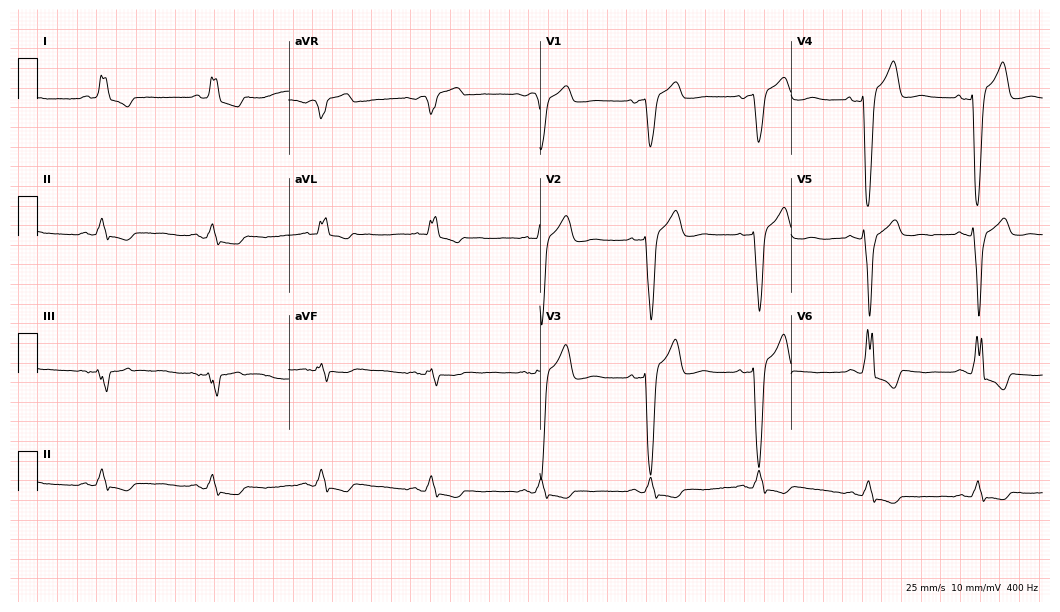
Resting 12-lead electrocardiogram (10.2-second recording at 400 Hz). Patient: a female, 84 years old. None of these six findings is recorded: first-degree AV block, right bundle branch block (RBBB), left bundle branch block (LBBB), sinus bradycardia, atrial fibrillation (AF), sinus tachycardia. Findings outside these six are not listed.